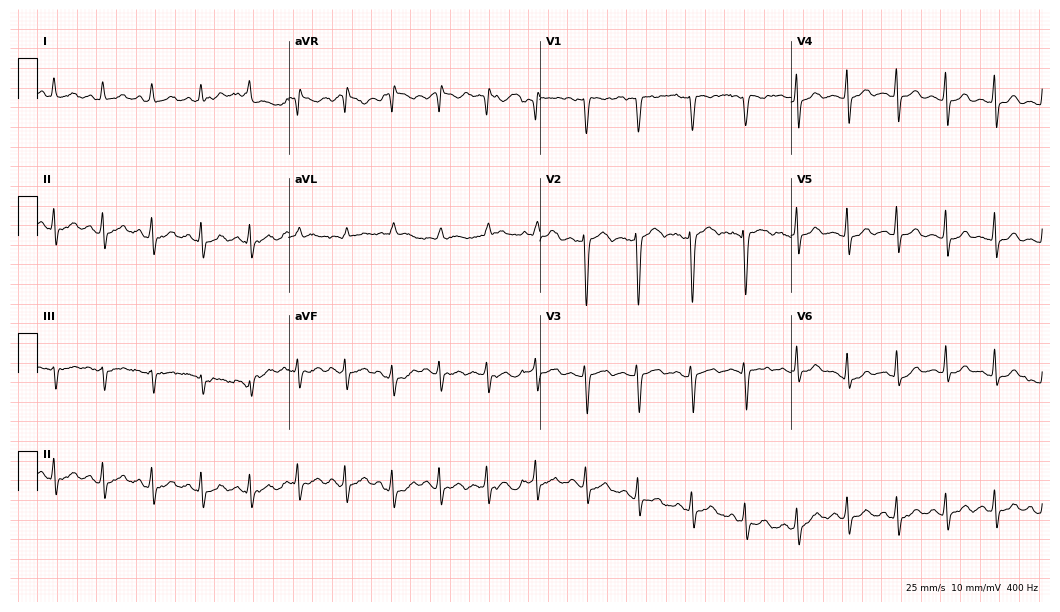
Electrocardiogram, a 26-year-old woman. Interpretation includes sinus tachycardia (a sinus rate of 100 beats per minute or more).